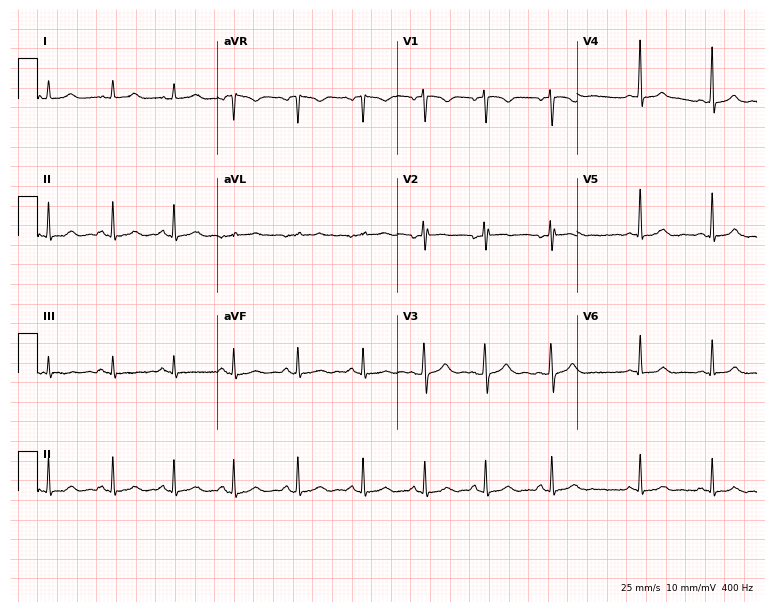
12-lead ECG (7.3-second recording at 400 Hz) from a female patient, 18 years old. Labelled as a normal ECG.